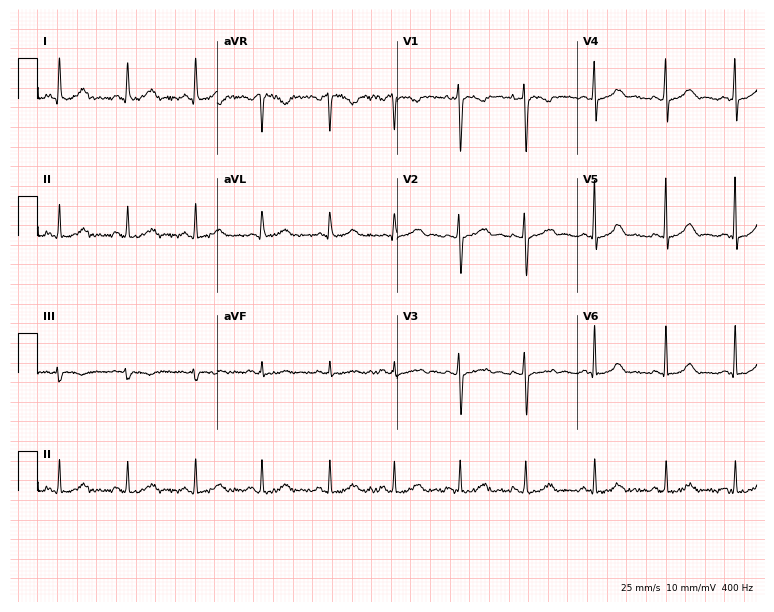
12-lead ECG from a 29-year-old female (7.3-second recording at 400 Hz). Recorded interpretation: within normal limits.